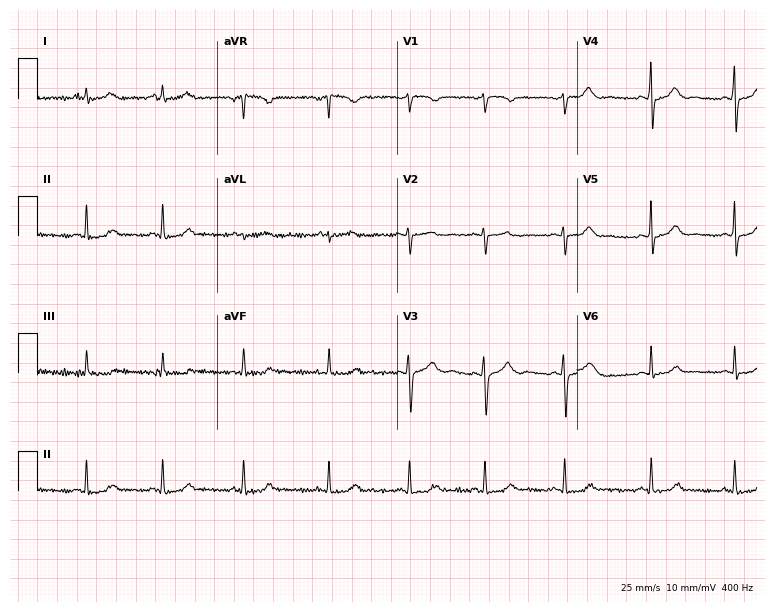
Standard 12-lead ECG recorded from a 19-year-old woman (7.3-second recording at 400 Hz). Read as a normal ECG.